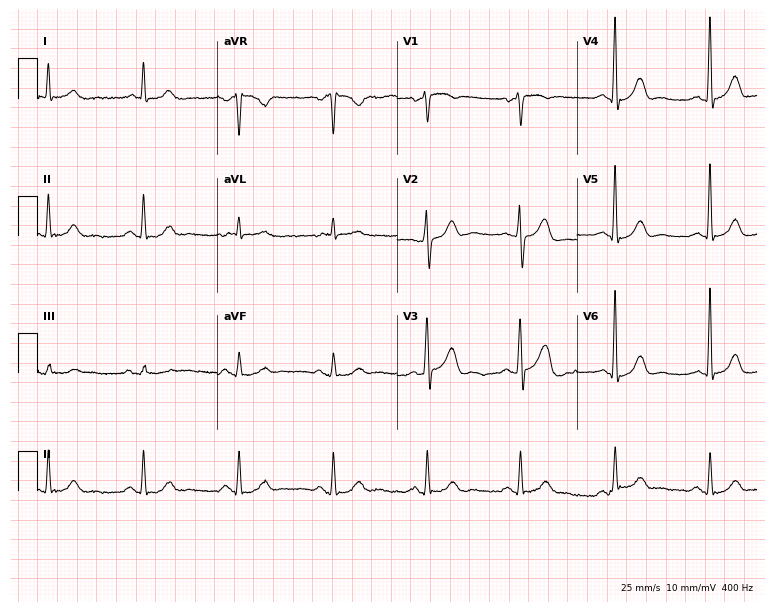
12-lead ECG from a 73-year-old male patient. Screened for six findings — first-degree AV block, right bundle branch block, left bundle branch block, sinus bradycardia, atrial fibrillation, sinus tachycardia — none is recorded.